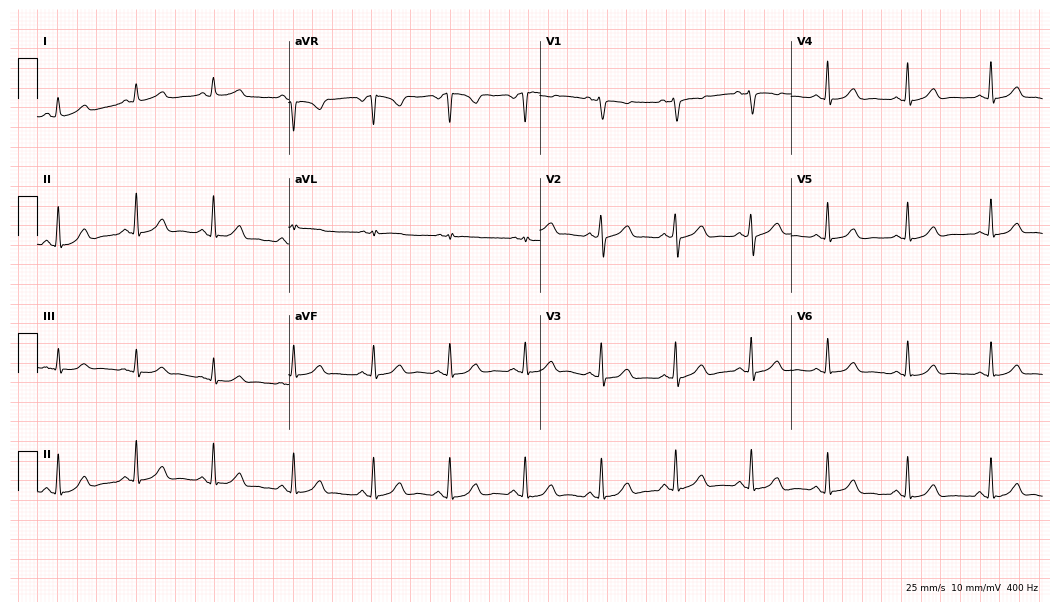
12-lead ECG from a 39-year-old female patient. Labelled as a normal ECG.